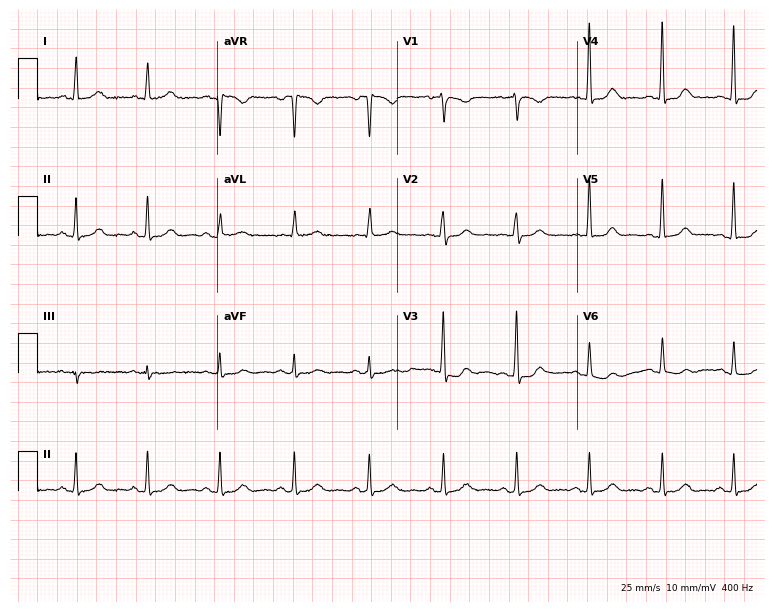
Standard 12-lead ECG recorded from a 65-year-old woman. None of these six findings is recorded: first-degree AV block, right bundle branch block, left bundle branch block, sinus bradycardia, atrial fibrillation, sinus tachycardia.